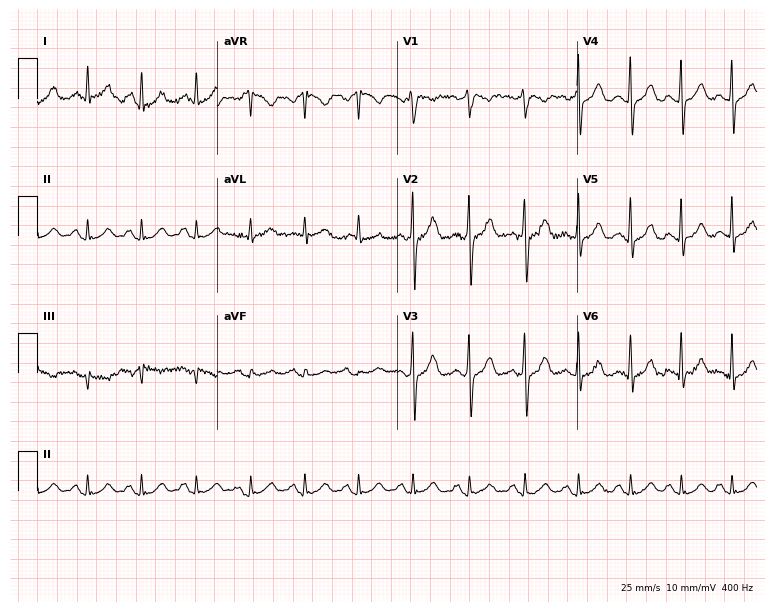
12-lead ECG (7.3-second recording at 400 Hz) from a 50-year-old male. Findings include sinus tachycardia (a sinus rate of 100 beats per minute or more).